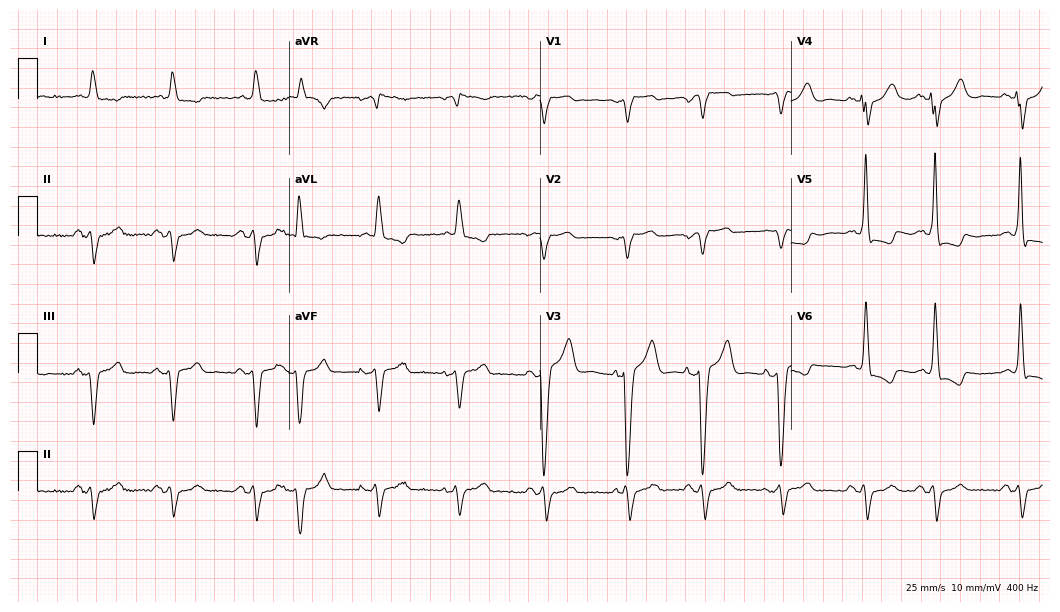
ECG — an 82-year-old man. Screened for six findings — first-degree AV block, right bundle branch block, left bundle branch block, sinus bradycardia, atrial fibrillation, sinus tachycardia — none is recorded. Other findings, if any, are not listed.